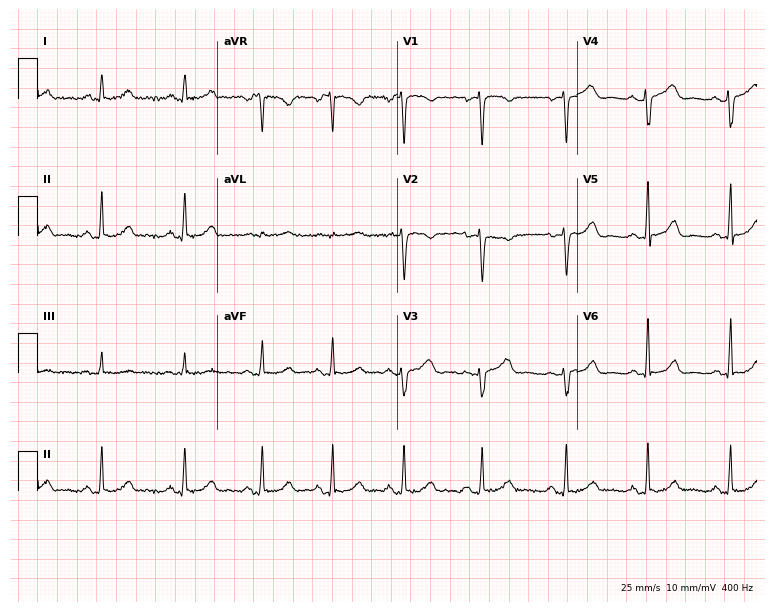
Electrocardiogram (7.3-second recording at 400 Hz), a 35-year-old woman. Overall reading on record: normal ECG.